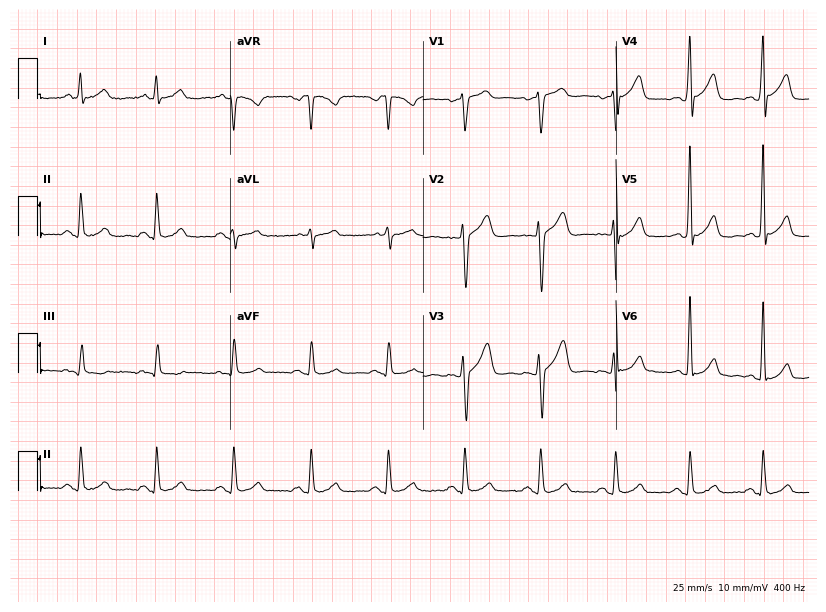
12-lead ECG from a 49-year-old male. Screened for six findings — first-degree AV block, right bundle branch block, left bundle branch block, sinus bradycardia, atrial fibrillation, sinus tachycardia — none is recorded. Other findings, if any, are not listed.